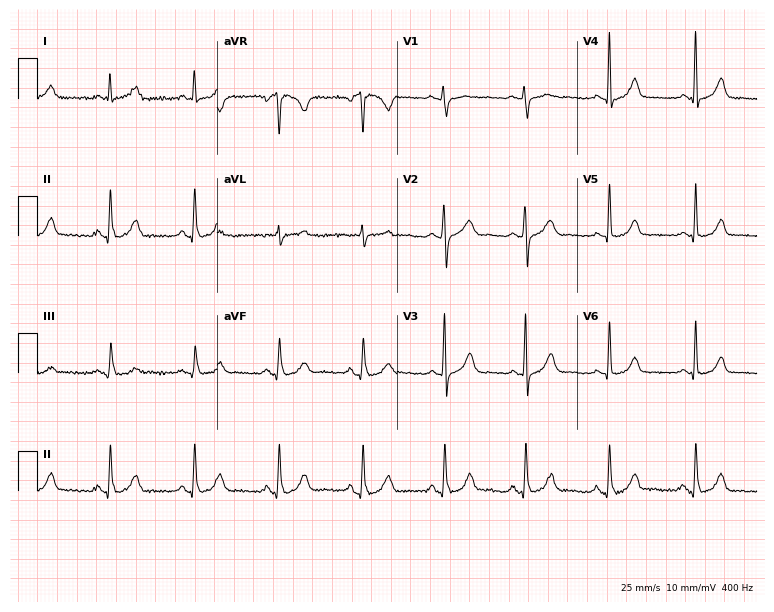
12-lead ECG from a 32-year-old woman (7.3-second recording at 400 Hz). No first-degree AV block, right bundle branch block, left bundle branch block, sinus bradycardia, atrial fibrillation or sinus tachycardia recorded for this tracing.